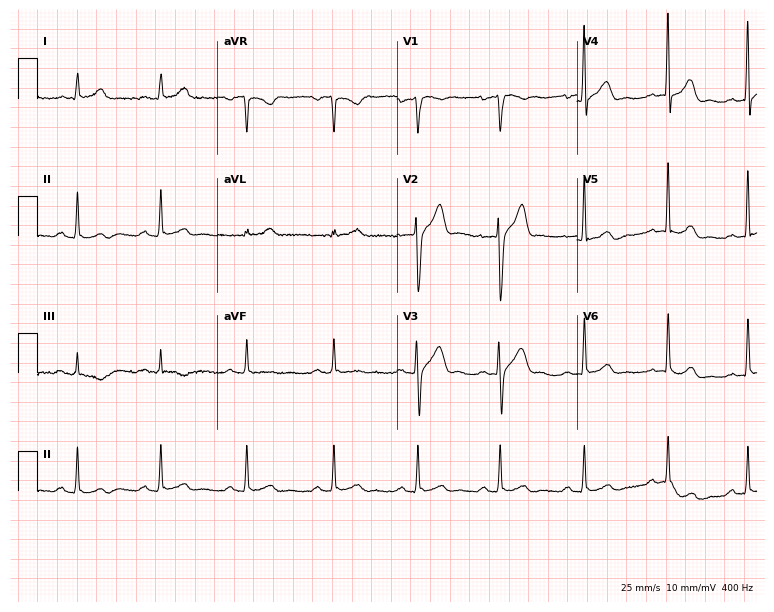
Standard 12-lead ECG recorded from a man, 40 years old (7.3-second recording at 400 Hz). None of these six findings is recorded: first-degree AV block, right bundle branch block, left bundle branch block, sinus bradycardia, atrial fibrillation, sinus tachycardia. Other findings, if any, are not listed.